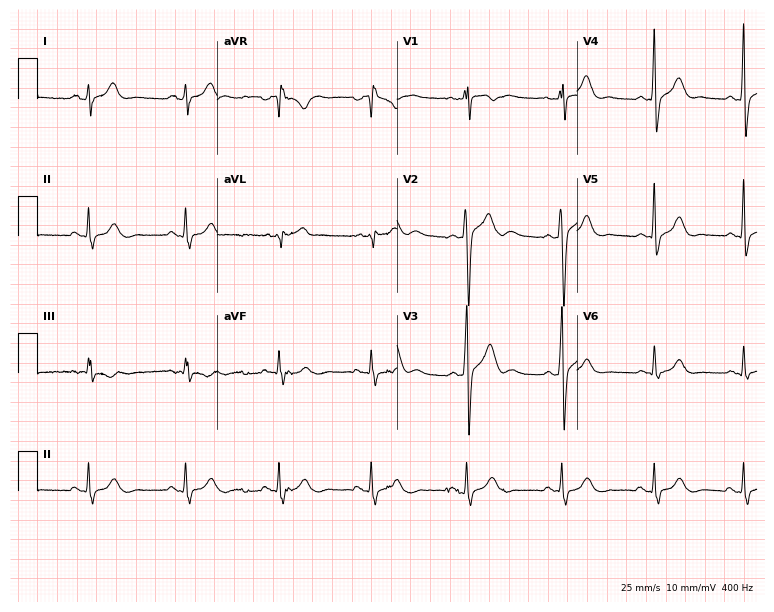
12-lead ECG from a man, 31 years old. Labelled as a normal ECG.